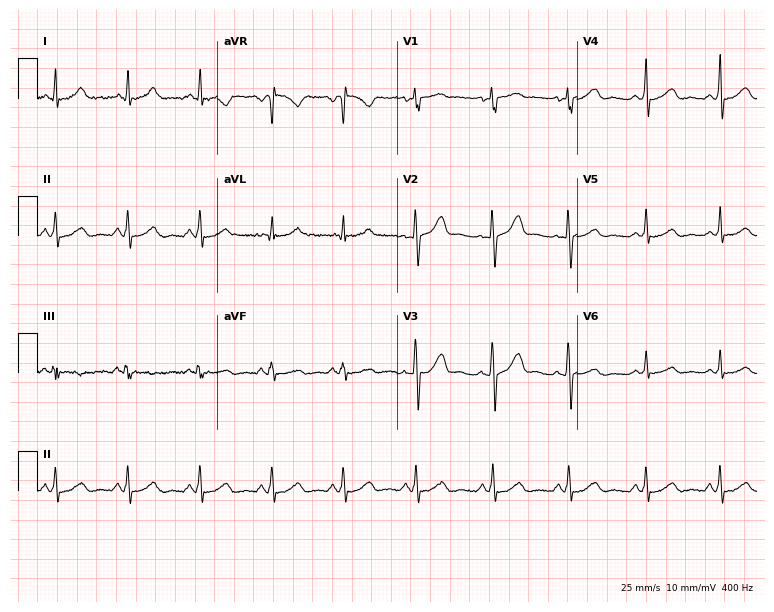
12-lead ECG from a 33-year-old female patient. Screened for six findings — first-degree AV block, right bundle branch block (RBBB), left bundle branch block (LBBB), sinus bradycardia, atrial fibrillation (AF), sinus tachycardia — none is recorded.